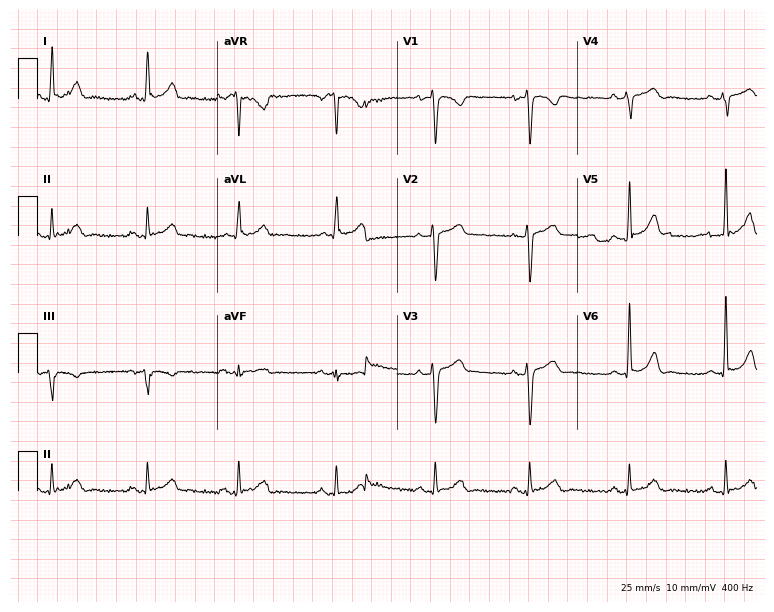
Electrocardiogram, a man, 35 years old. Overall reading on record: normal ECG.